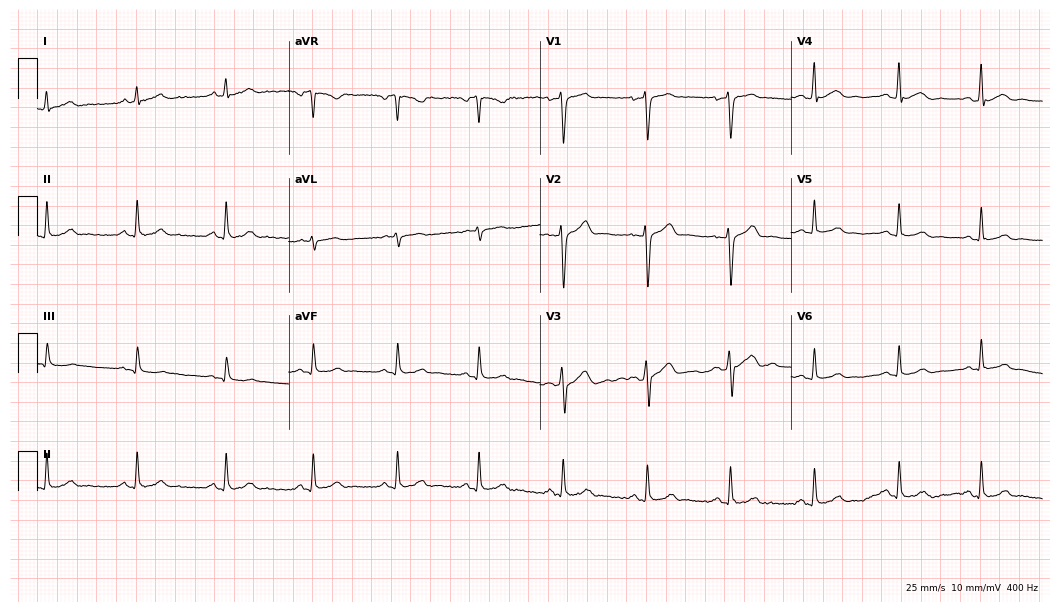
12-lead ECG from a male patient, 32 years old. Recorded interpretation: within normal limits.